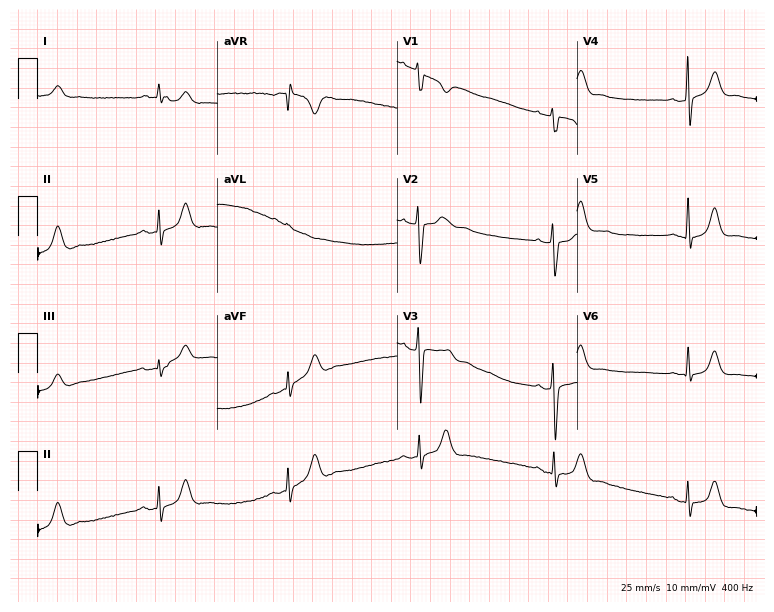
Electrocardiogram, a 43-year-old male. Interpretation includes sinus bradycardia (a sinus rate of 50 beats per minute or less).